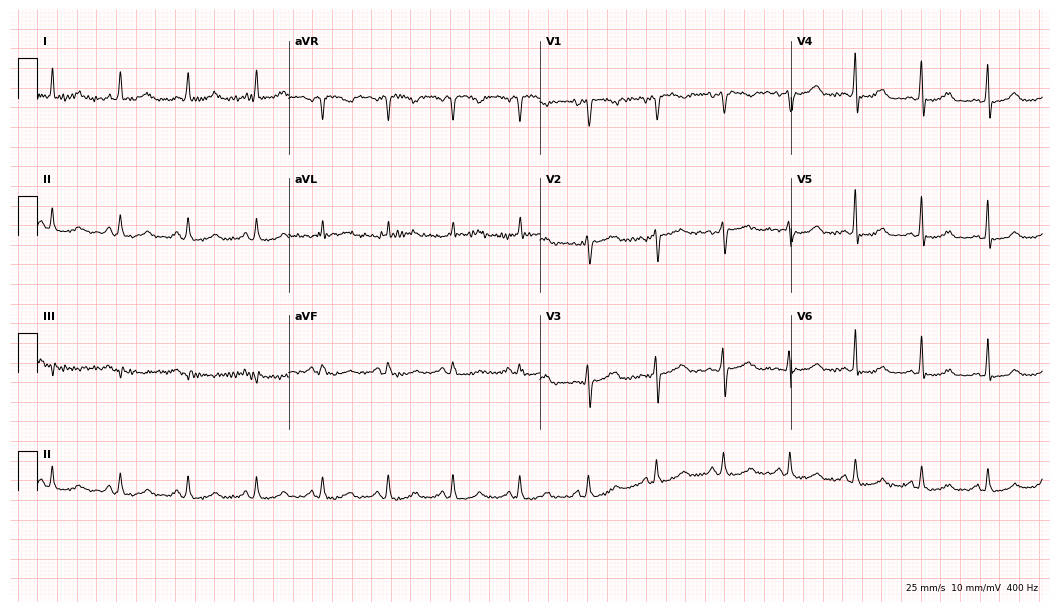
Standard 12-lead ECG recorded from a 43-year-old female patient. Read as a normal ECG.